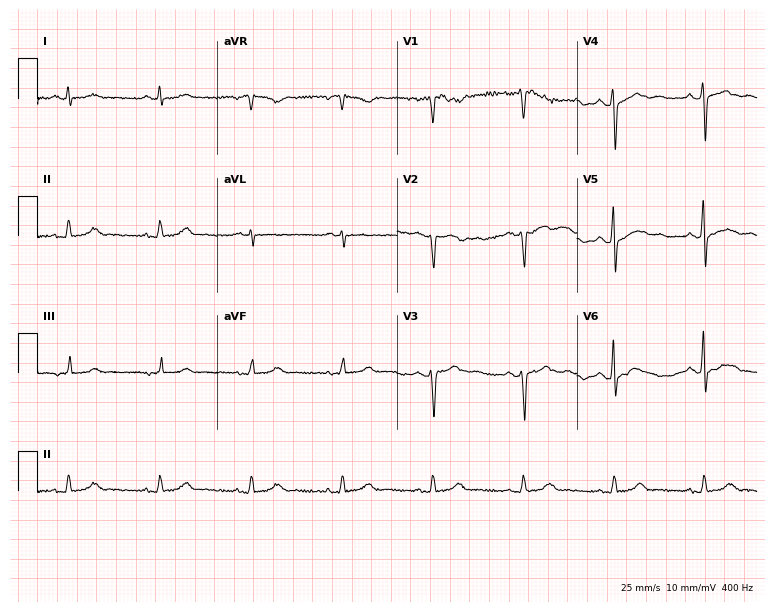
12-lead ECG from a 63-year-old man (7.3-second recording at 400 Hz). No first-degree AV block, right bundle branch block, left bundle branch block, sinus bradycardia, atrial fibrillation or sinus tachycardia recorded for this tracing.